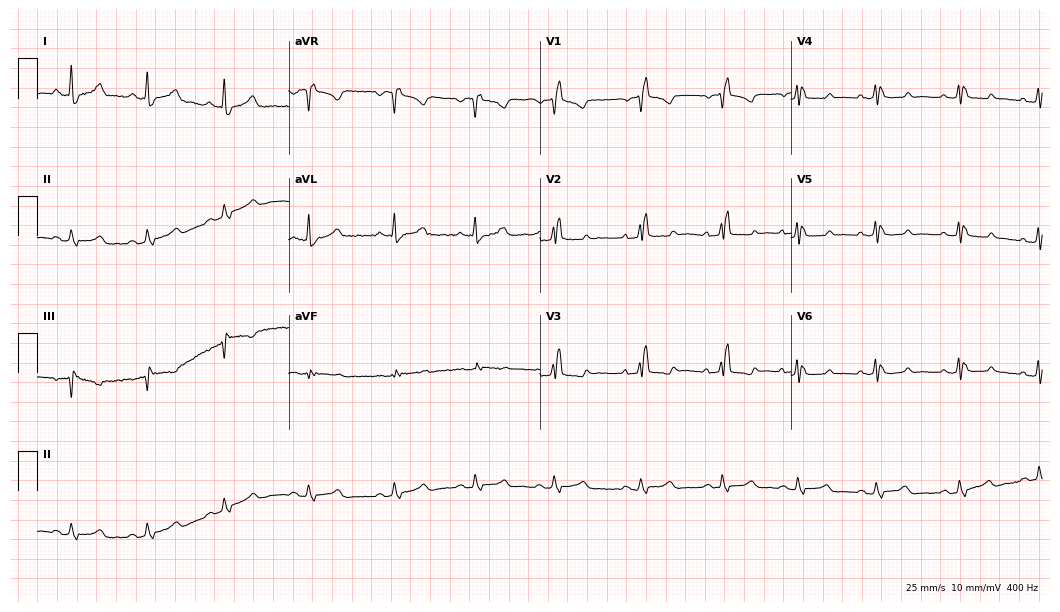
12-lead ECG from a 56-year-old female patient. Shows right bundle branch block.